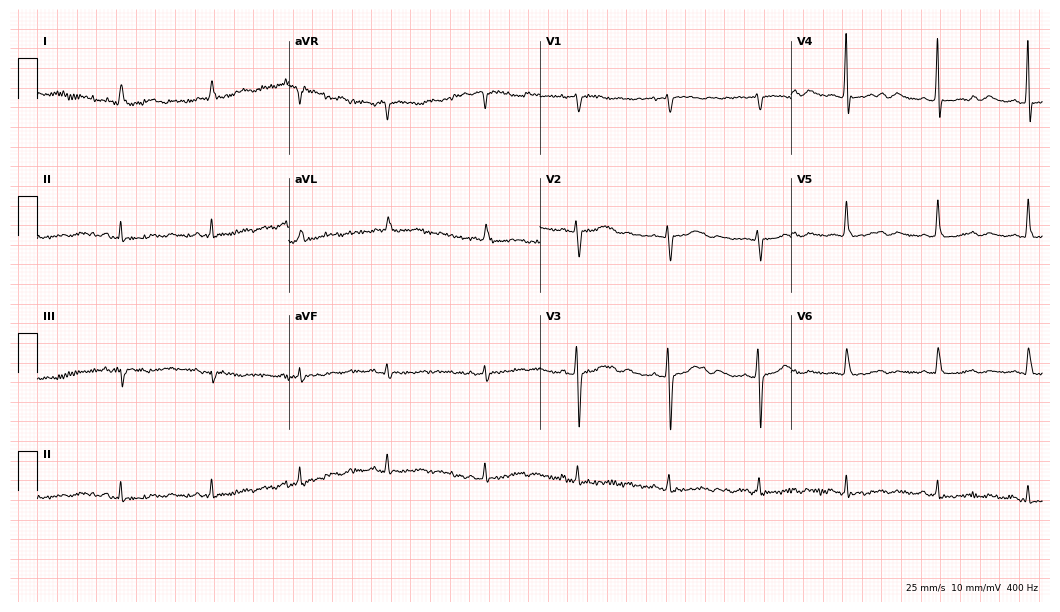
12-lead ECG from a 65-year-old female patient. No first-degree AV block, right bundle branch block, left bundle branch block, sinus bradycardia, atrial fibrillation or sinus tachycardia recorded for this tracing.